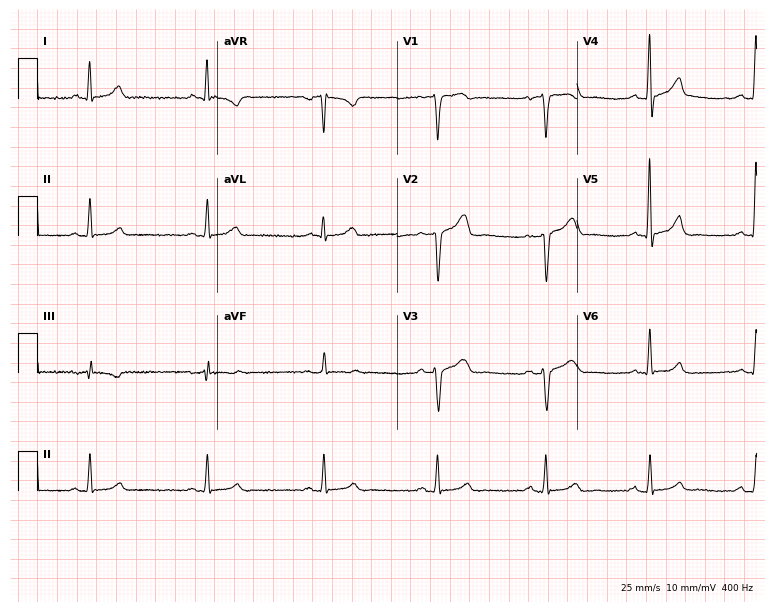
Resting 12-lead electrocardiogram (7.3-second recording at 400 Hz). Patient: a 51-year-old male. None of these six findings is recorded: first-degree AV block, right bundle branch block, left bundle branch block, sinus bradycardia, atrial fibrillation, sinus tachycardia. Only these six findings were labelled.